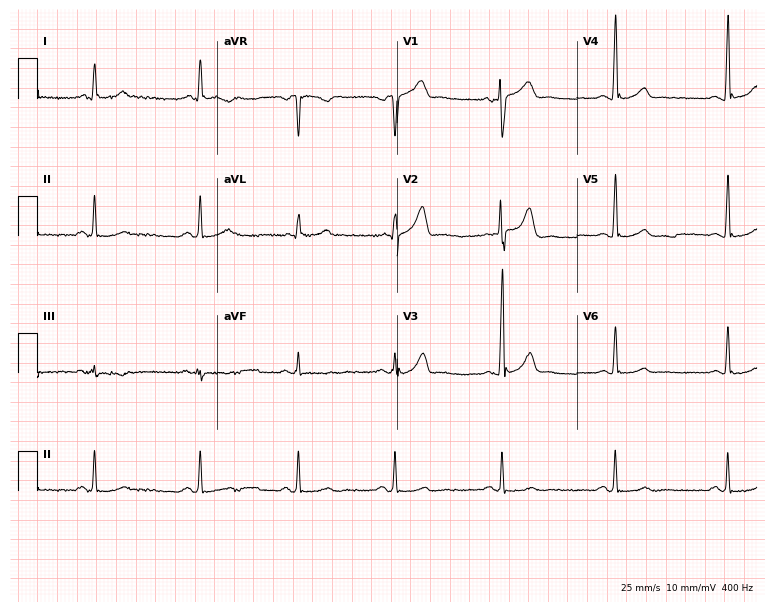
Standard 12-lead ECG recorded from a 58-year-old male patient (7.3-second recording at 400 Hz). Read as a normal ECG.